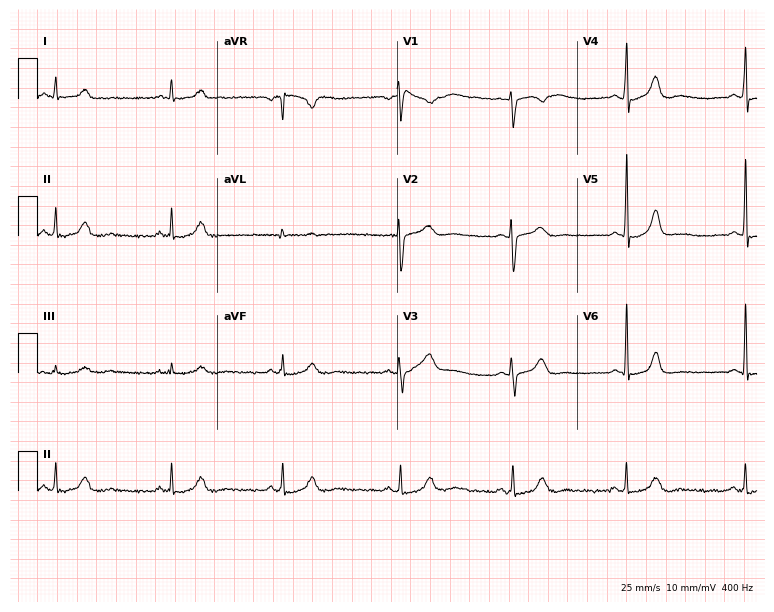
Standard 12-lead ECG recorded from a 32-year-old female (7.3-second recording at 400 Hz). None of these six findings is recorded: first-degree AV block, right bundle branch block, left bundle branch block, sinus bradycardia, atrial fibrillation, sinus tachycardia. Findings outside these six are not listed.